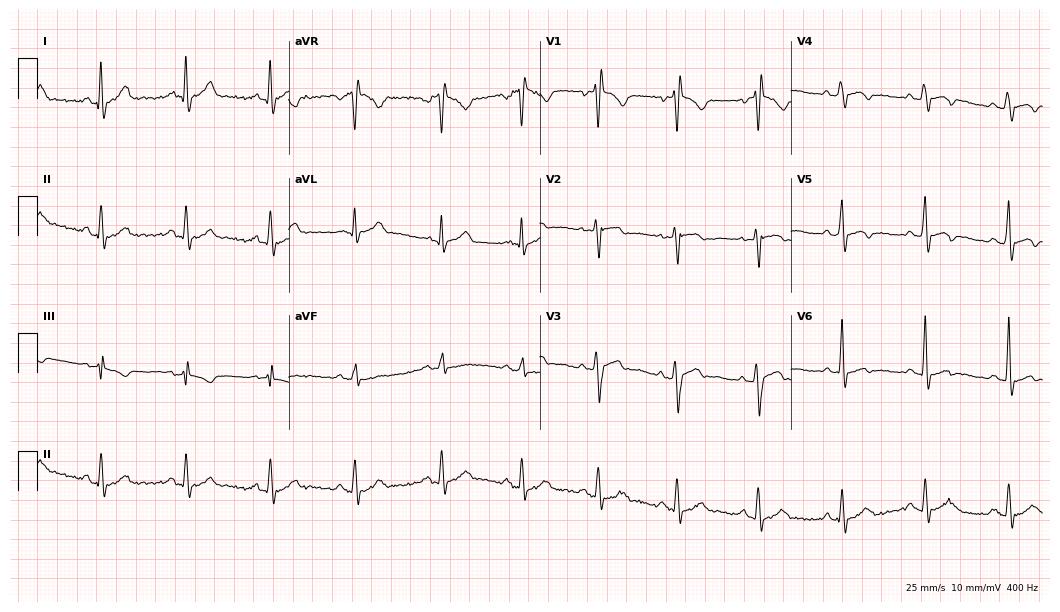
12-lead ECG from a 35-year-old man (10.2-second recording at 400 Hz). No first-degree AV block, right bundle branch block, left bundle branch block, sinus bradycardia, atrial fibrillation or sinus tachycardia recorded for this tracing. Only these six findings were labelled.